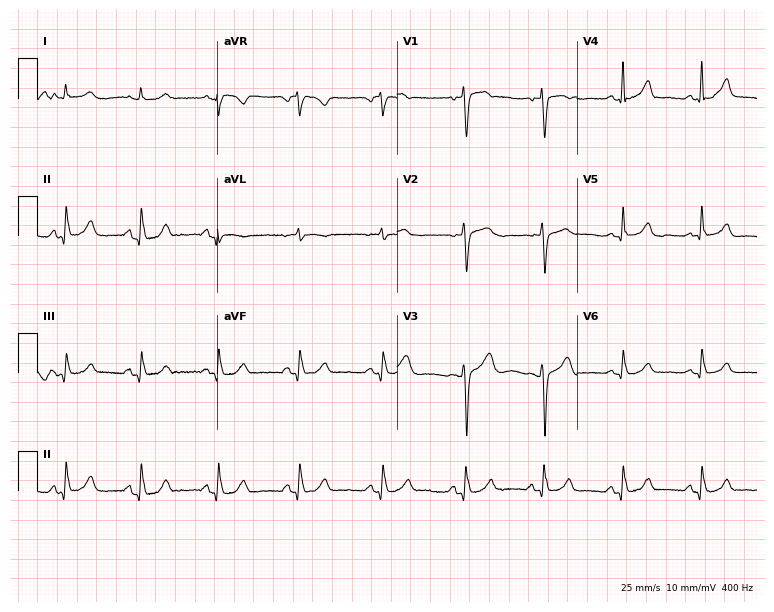
12-lead ECG from a 58-year-old female. Recorded interpretation: within normal limits.